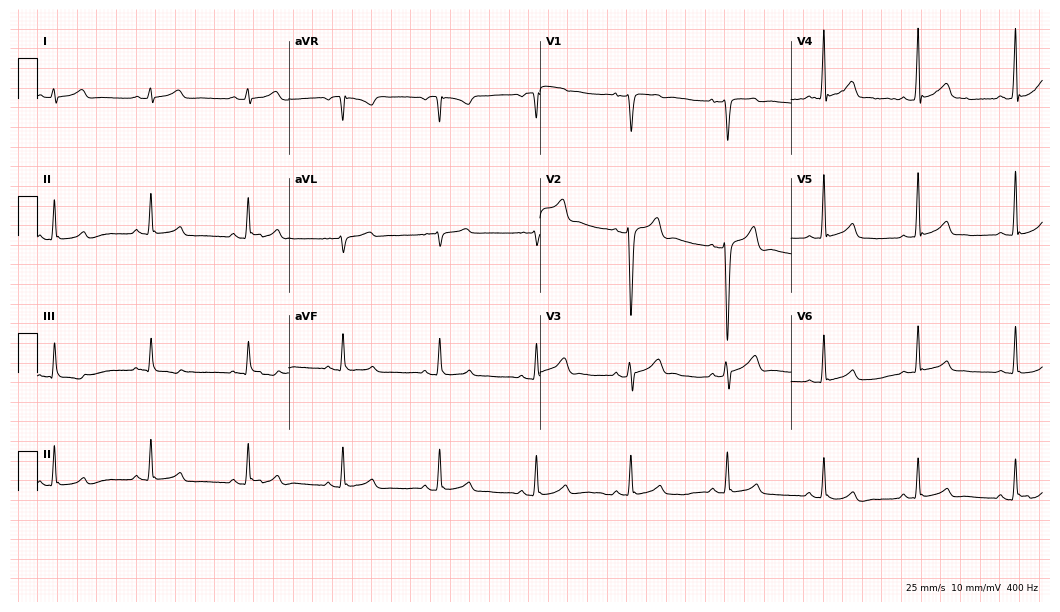
Electrocardiogram, a man, 20 years old. Overall reading on record: normal ECG.